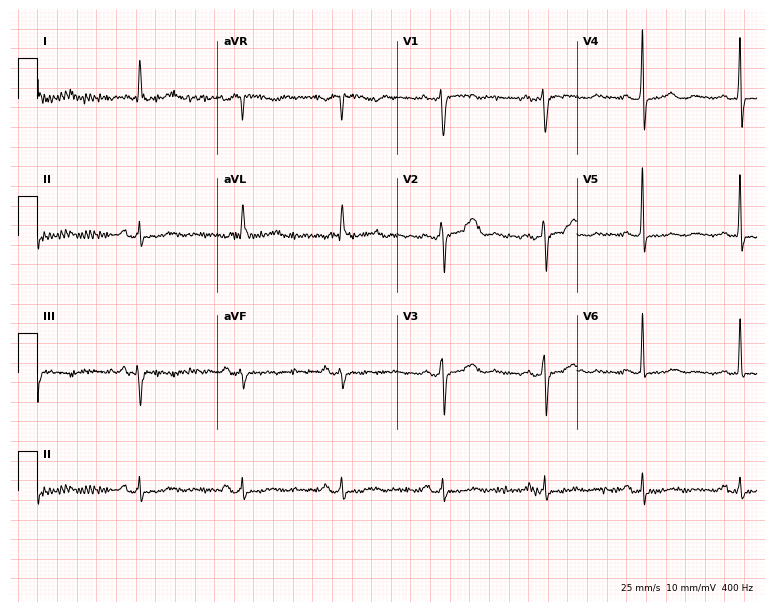
12-lead ECG (7.3-second recording at 400 Hz) from a female patient, 54 years old. Labelled as a normal ECG.